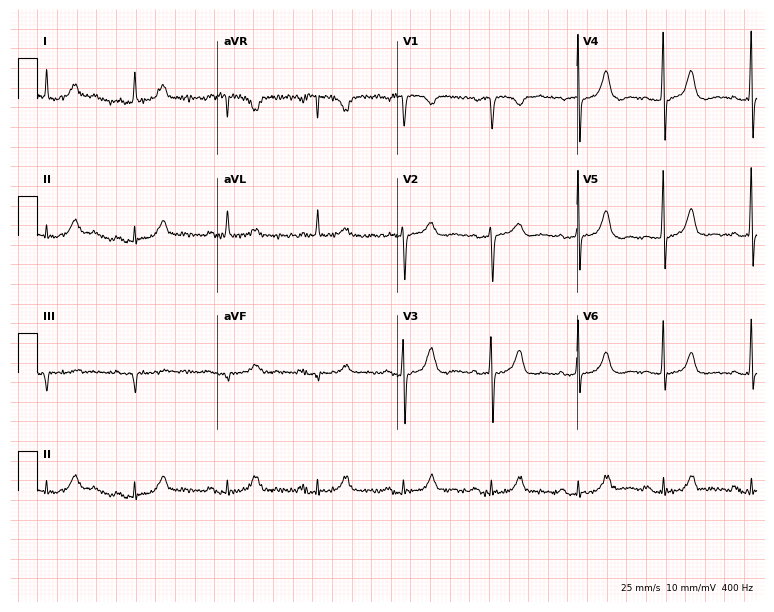
Standard 12-lead ECG recorded from a female, 72 years old. None of these six findings is recorded: first-degree AV block, right bundle branch block (RBBB), left bundle branch block (LBBB), sinus bradycardia, atrial fibrillation (AF), sinus tachycardia. Other findings, if any, are not listed.